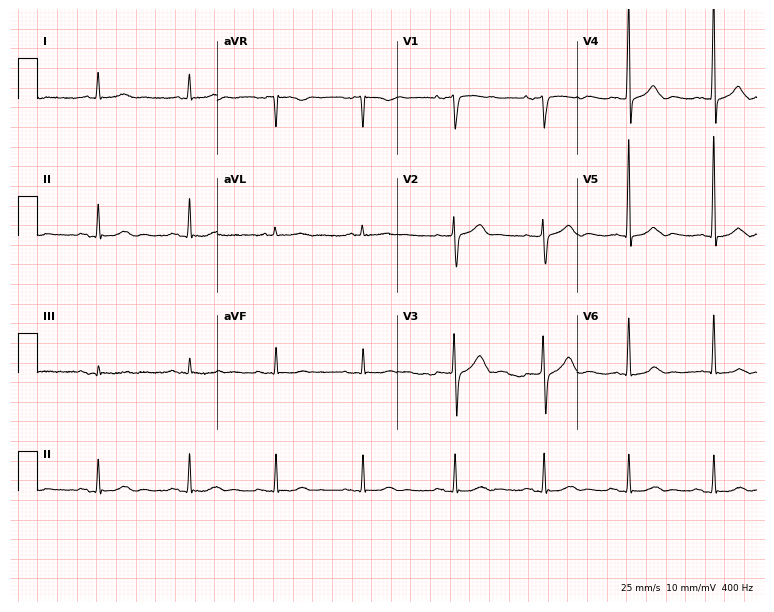
Standard 12-lead ECG recorded from a male patient, 81 years old. None of these six findings is recorded: first-degree AV block, right bundle branch block, left bundle branch block, sinus bradycardia, atrial fibrillation, sinus tachycardia. Only these six findings were labelled.